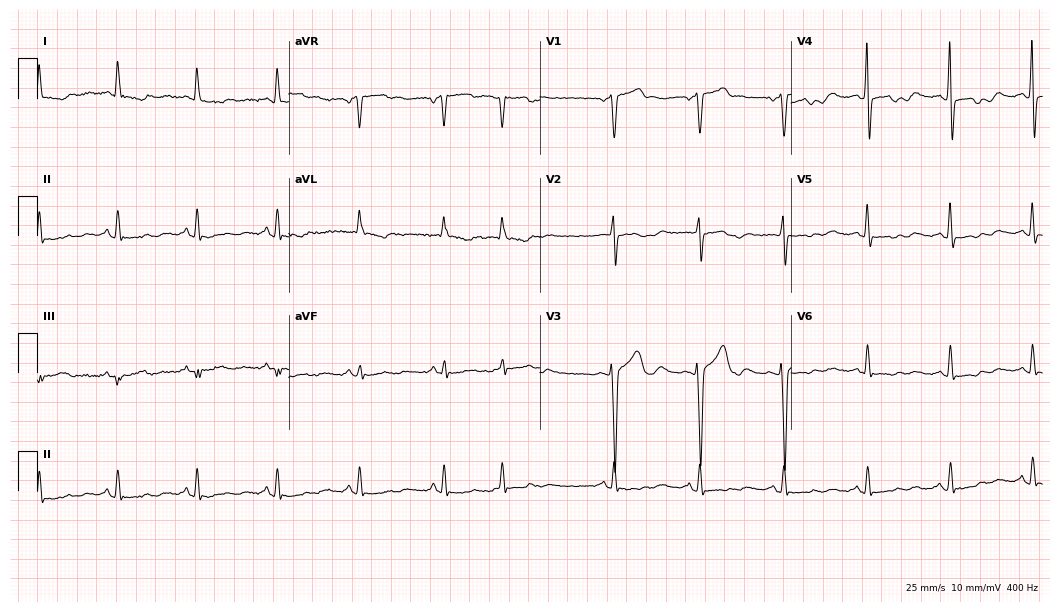
12-lead ECG from a man, 67 years old (10.2-second recording at 400 Hz). No first-degree AV block, right bundle branch block (RBBB), left bundle branch block (LBBB), sinus bradycardia, atrial fibrillation (AF) or sinus tachycardia recorded for this tracing.